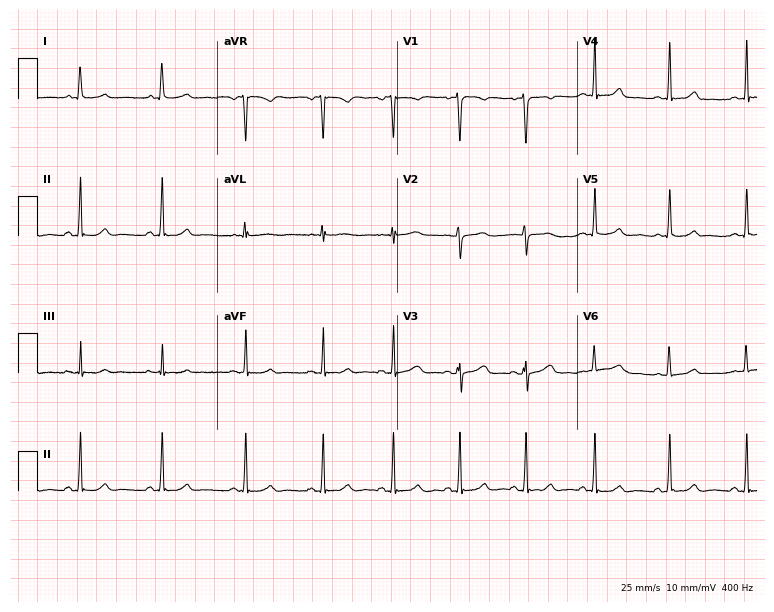
12-lead ECG from a female patient, 23 years old. No first-degree AV block, right bundle branch block (RBBB), left bundle branch block (LBBB), sinus bradycardia, atrial fibrillation (AF) or sinus tachycardia recorded for this tracing.